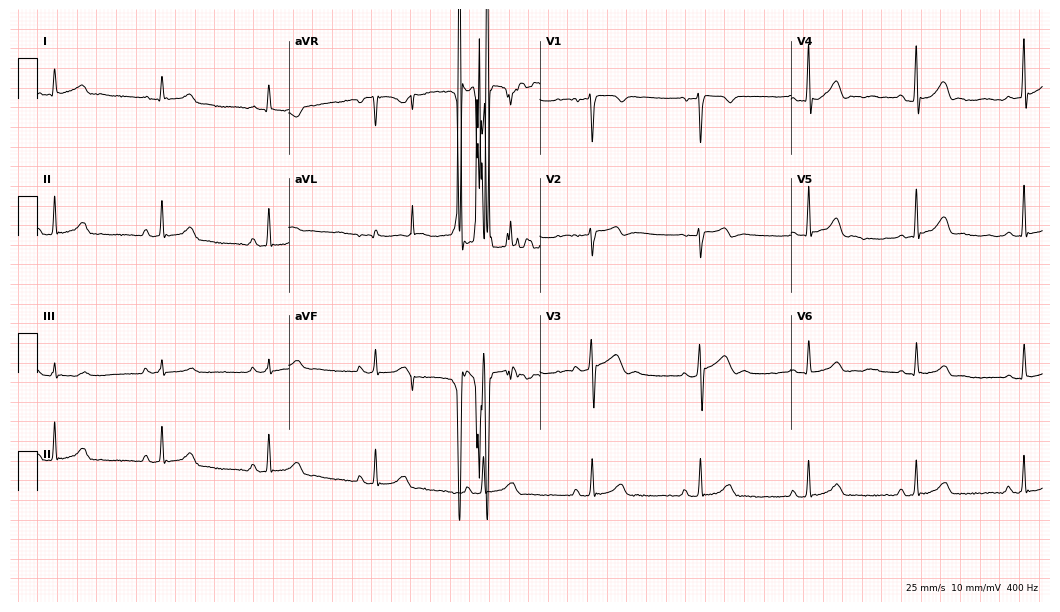
ECG — a 17-year-old male patient. Labelled as a normal ECG.